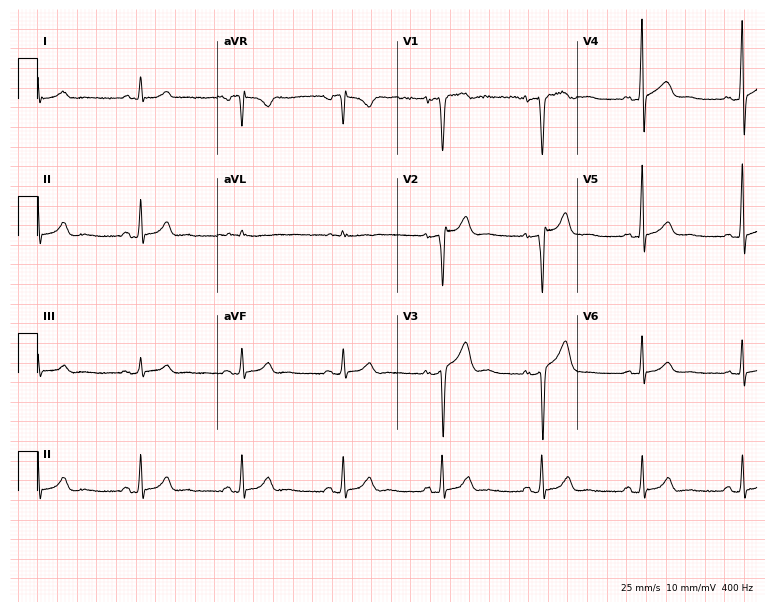
12-lead ECG (7.3-second recording at 400 Hz) from a 42-year-old man. Screened for six findings — first-degree AV block, right bundle branch block, left bundle branch block, sinus bradycardia, atrial fibrillation, sinus tachycardia — none is recorded. Only these six findings were labelled.